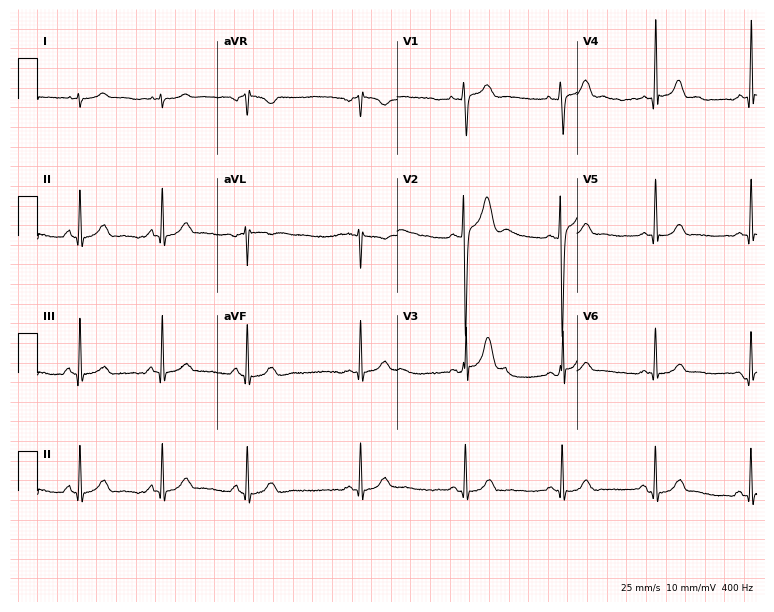
Resting 12-lead electrocardiogram. Patient: a 21-year-old man. None of these six findings is recorded: first-degree AV block, right bundle branch block (RBBB), left bundle branch block (LBBB), sinus bradycardia, atrial fibrillation (AF), sinus tachycardia. Other findings, if any, are not listed.